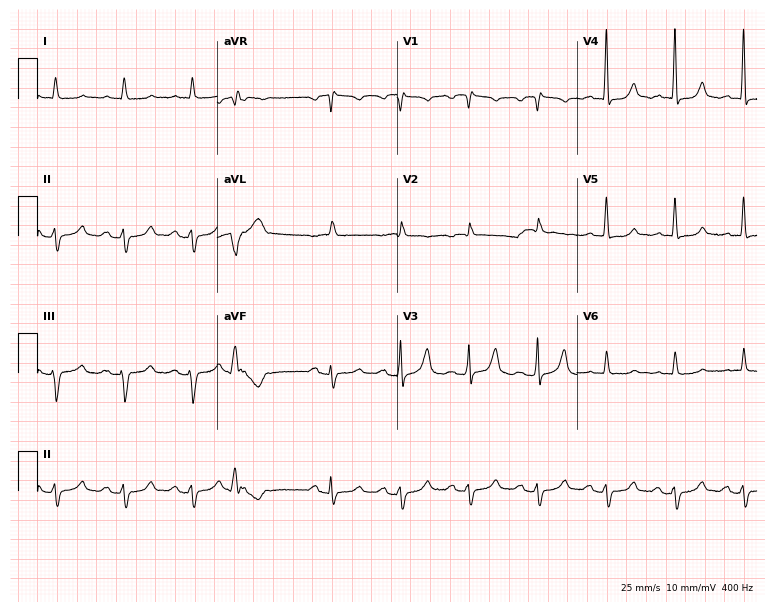
Resting 12-lead electrocardiogram (7.3-second recording at 400 Hz). Patient: a female, 85 years old. None of these six findings is recorded: first-degree AV block, right bundle branch block, left bundle branch block, sinus bradycardia, atrial fibrillation, sinus tachycardia.